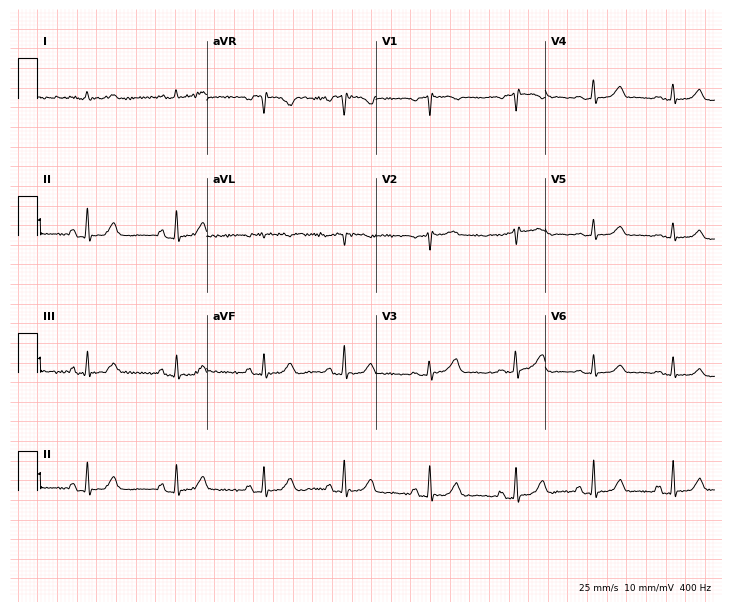
Electrocardiogram, a female, 57 years old. Overall reading on record: normal ECG.